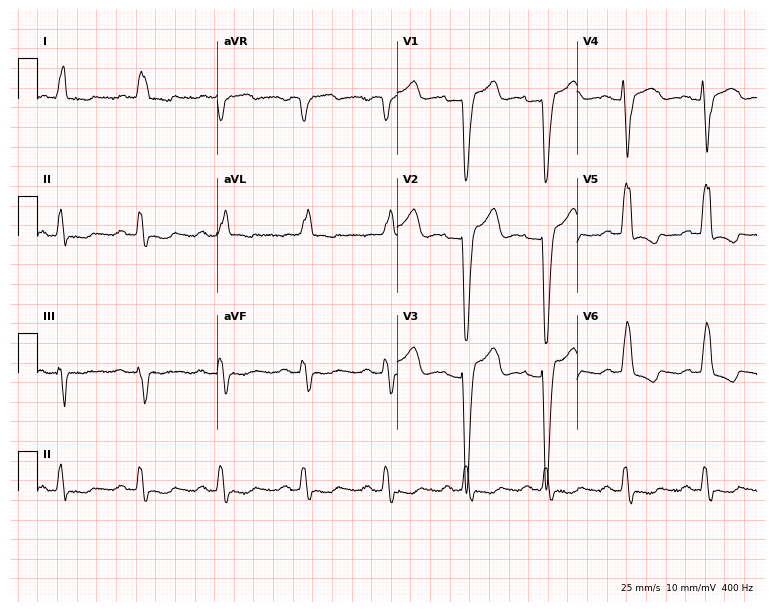
12-lead ECG from a female, 75 years old. Findings include left bundle branch block.